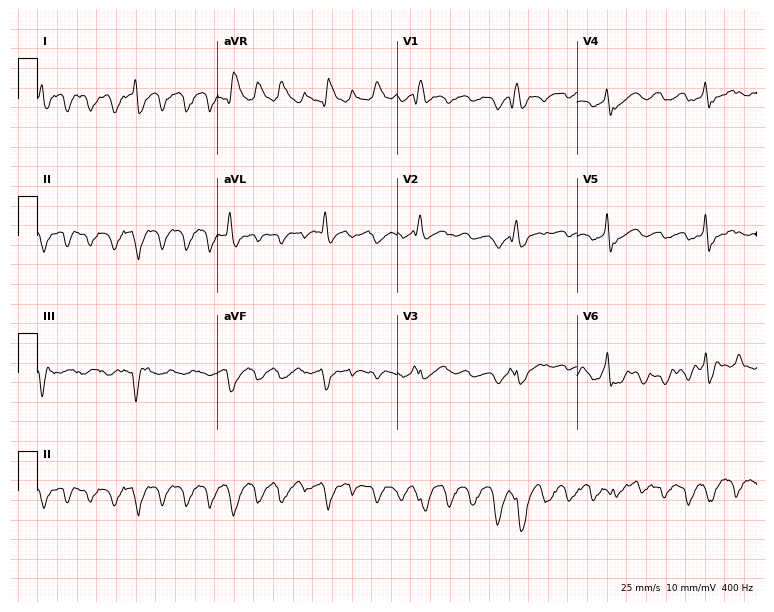
ECG — an 85-year-old man. Findings include right bundle branch block (RBBB).